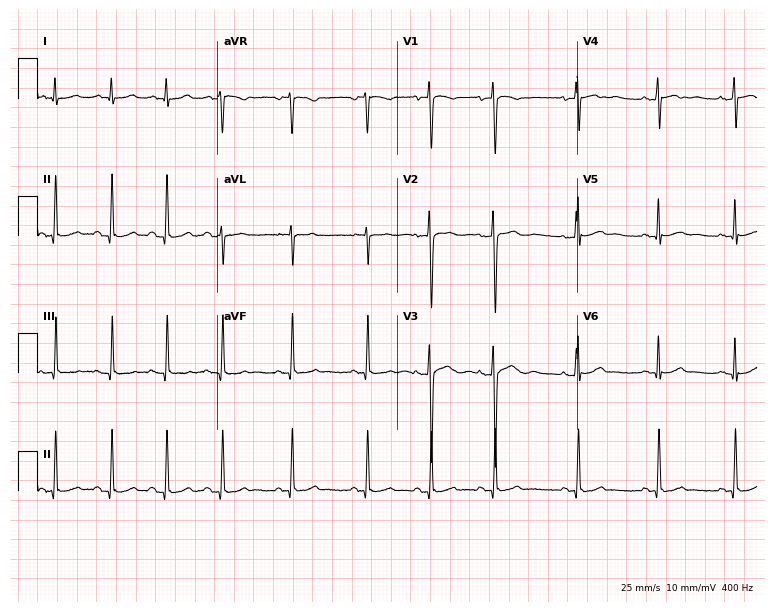
ECG (7.3-second recording at 400 Hz) — a 17-year-old woman. Labelled as a normal ECG.